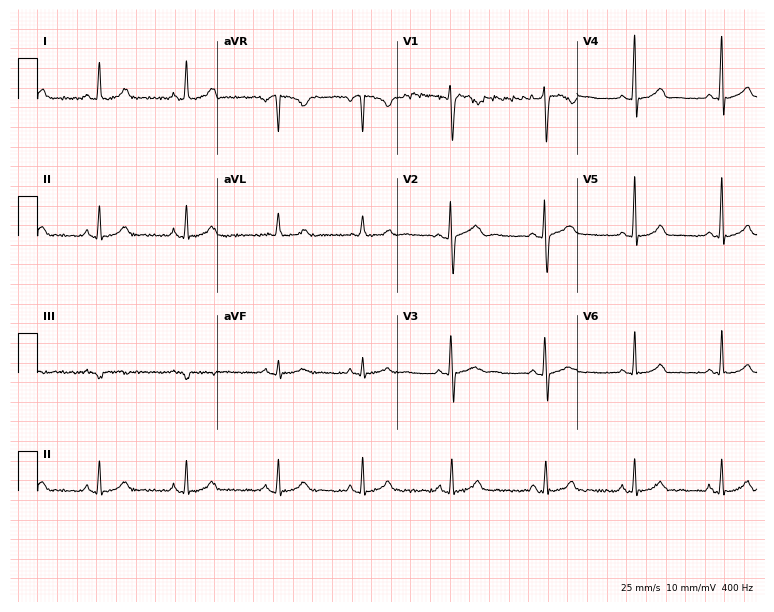
Standard 12-lead ECG recorded from a 27-year-old female patient (7.3-second recording at 400 Hz). Read as a normal ECG.